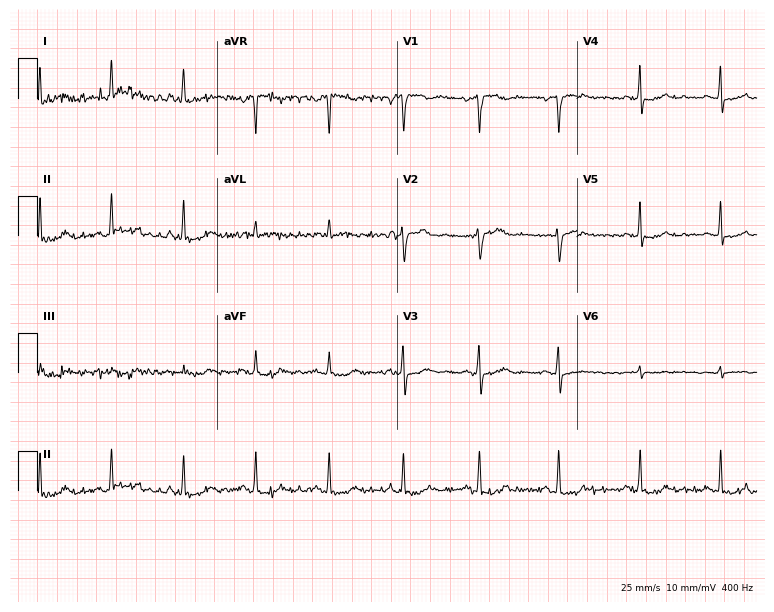
Resting 12-lead electrocardiogram (7.3-second recording at 400 Hz). Patient: a female, 48 years old. None of these six findings is recorded: first-degree AV block, right bundle branch block, left bundle branch block, sinus bradycardia, atrial fibrillation, sinus tachycardia. Findings outside these six are not listed.